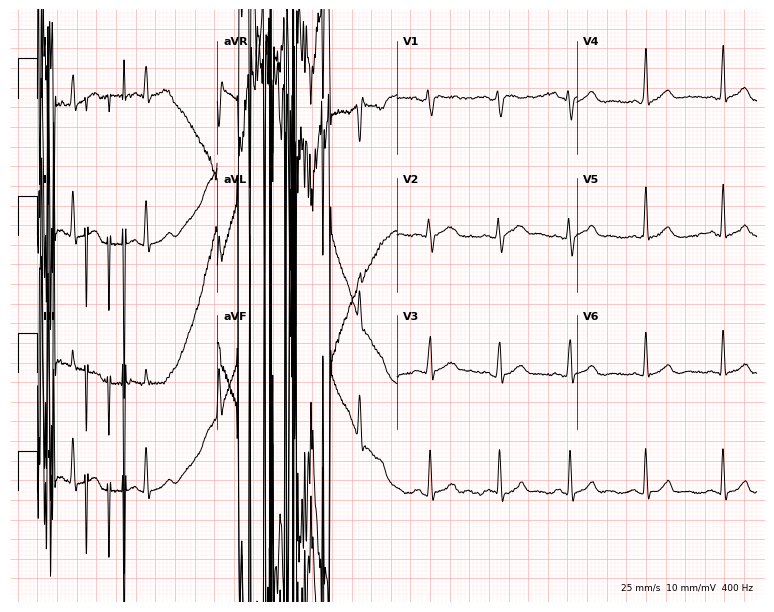
Electrocardiogram (7.3-second recording at 400 Hz), a female patient, 19 years old. Of the six screened findings (first-degree AV block, right bundle branch block (RBBB), left bundle branch block (LBBB), sinus bradycardia, atrial fibrillation (AF), sinus tachycardia), none is recorded. Other findings, if any, are not listed.